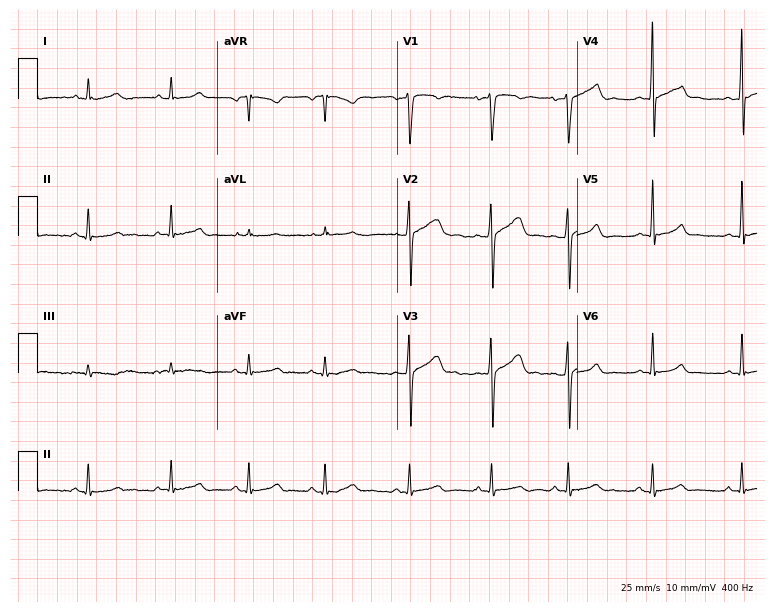
Standard 12-lead ECG recorded from a man, 33 years old. None of these six findings is recorded: first-degree AV block, right bundle branch block (RBBB), left bundle branch block (LBBB), sinus bradycardia, atrial fibrillation (AF), sinus tachycardia.